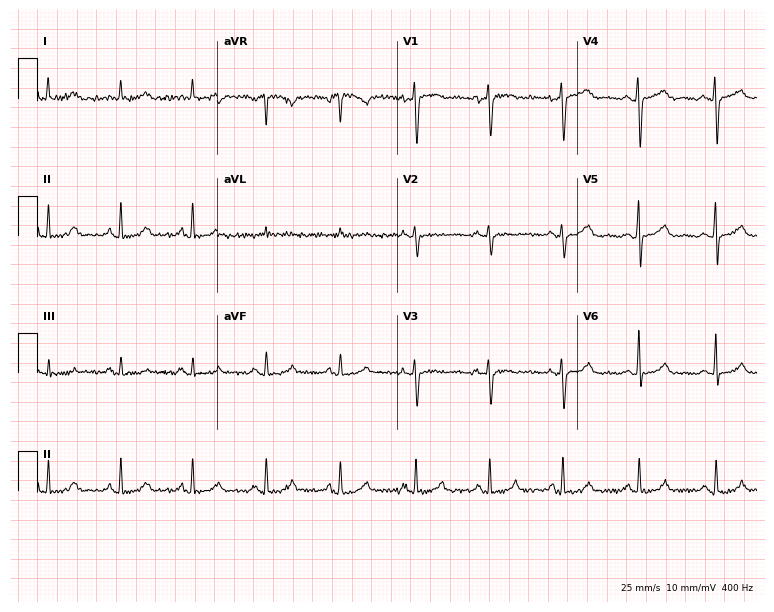
12-lead ECG from a female, 39 years old. Screened for six findings — first-degree AV block, right bundle branch block (RBBB), left bundle branch block (LBBB), sinus bradycardia, atrial fibrillation (AF), sinus tachycardia — none is recorded. Other findings, if any, are not listed.